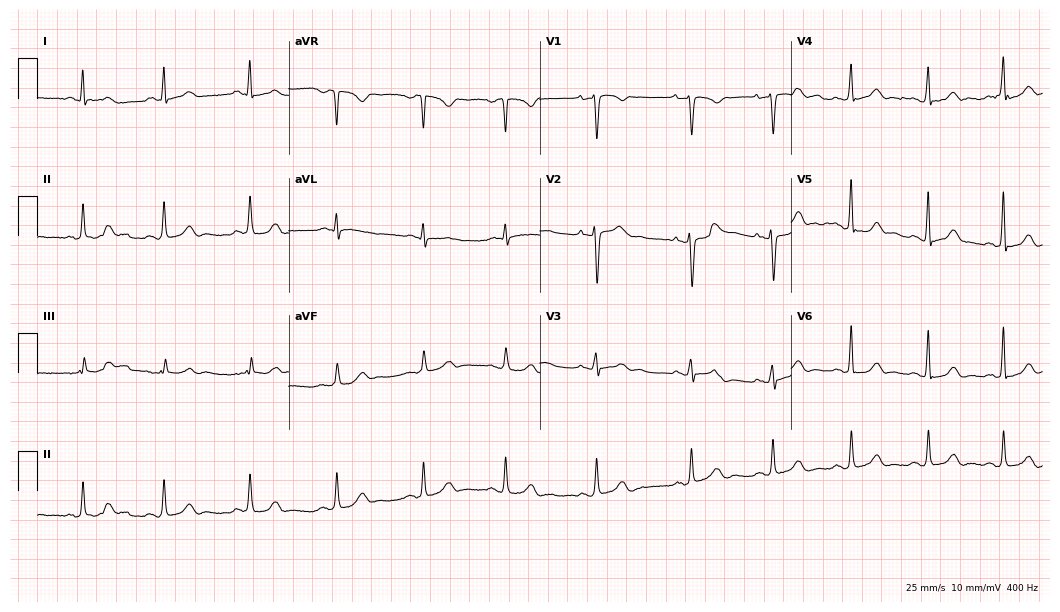
ECG — a female patient, 34 years old. Labelled as a normal ECG.